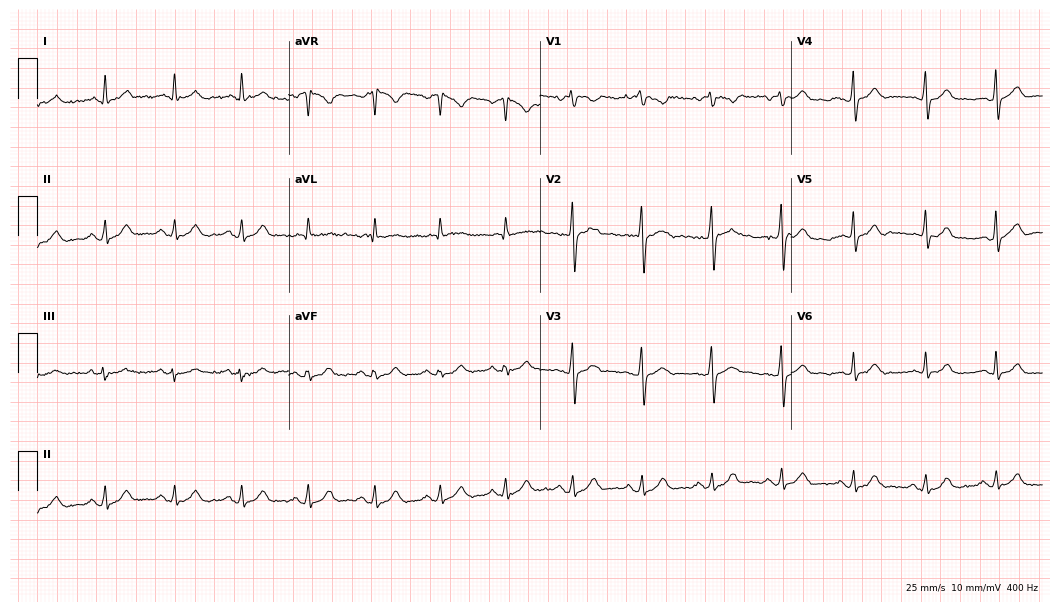
Electrocardiogram (10.2-second recording at 400 Hz), a 37-year-old male patient. Overall reading on record: normal ECG.